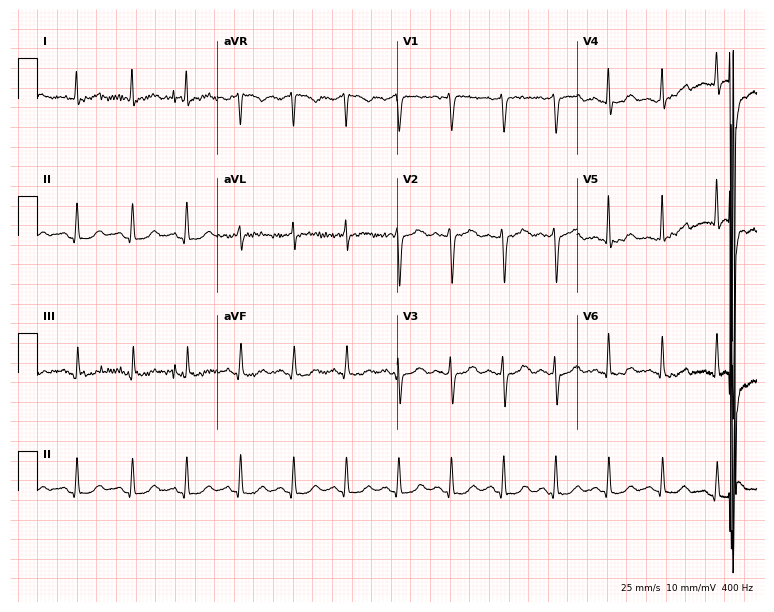
Resting 12-lead electrocardiogram (7.3-second recording at 400 Hz). Patient: a 48-year-old female. None of these six findings is recorded: first-degree AV block, right bundle branch block, left bundle branch block, sinus bradycardia, atrial fibrillation, sinus tachycardia. Findings outside these six are not listed.